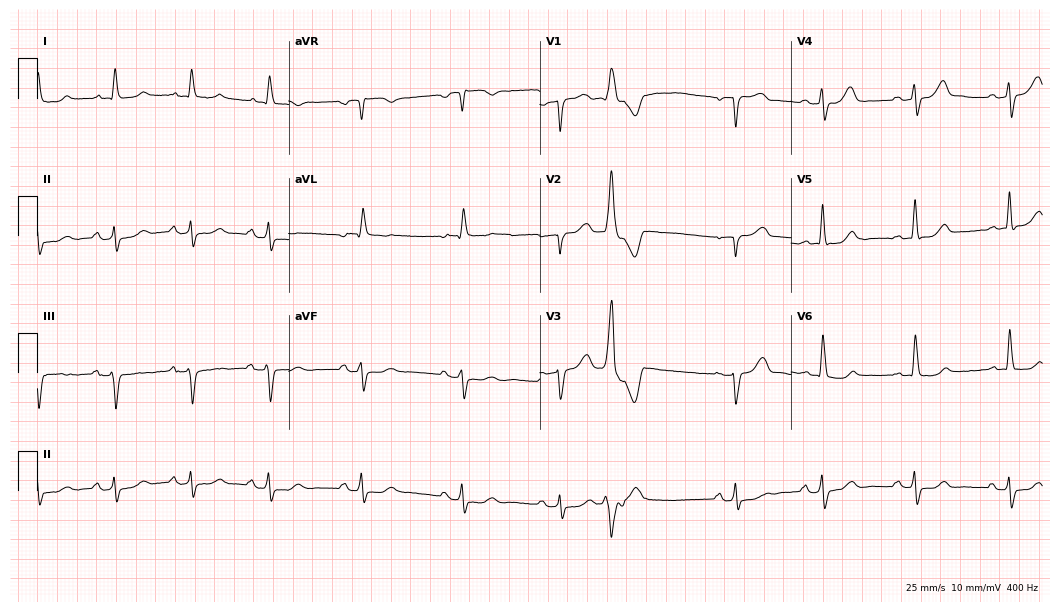
ECG — a male, 75 years old. Screened for six findings — first-degree AV block, right bundle branch block (RBBB), left bundle branch block (LBBB), sinus bradycardia, atrial fibrillation (AF), sinus tachycardia — none is recorded.